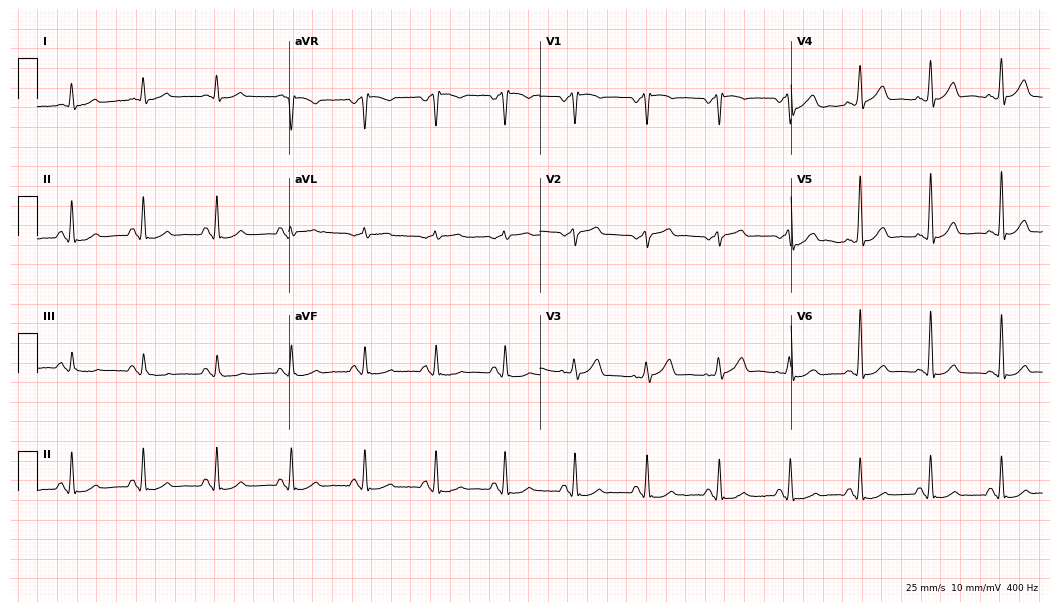
Electrocardiogram, a male patient, 79 years old. Overall reading on record: normal ECG.